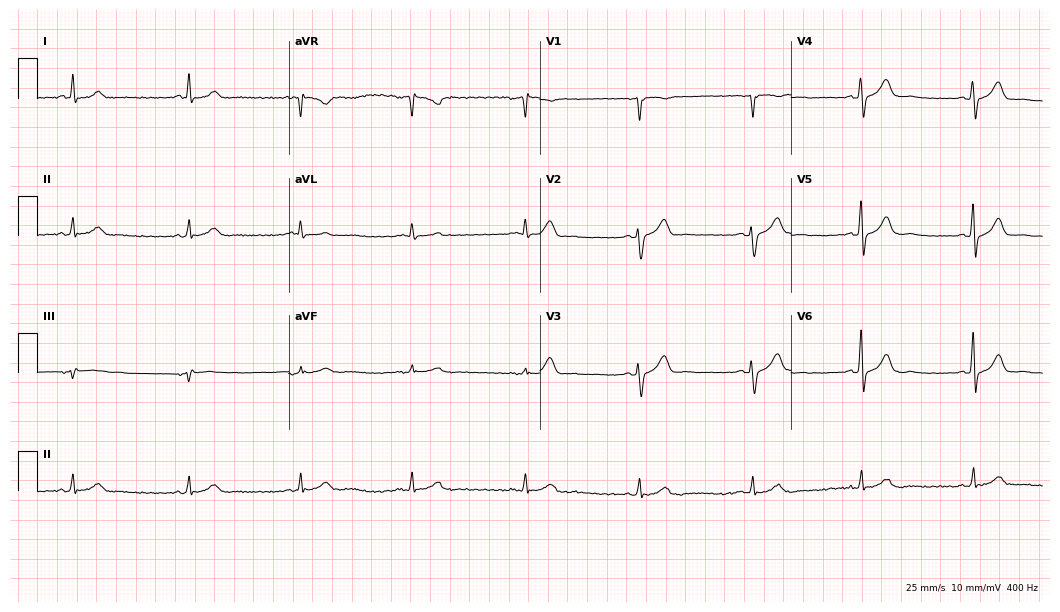
12-lead ECG from a male patient, 47 years old. Labelled as a normal ECG.